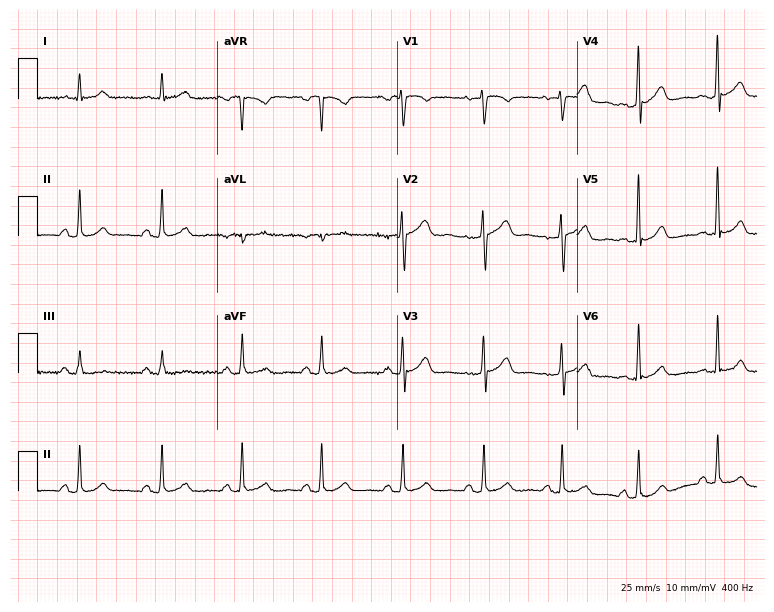
12-lead ECG (7.3-second recording at 400 Hz) from a 55-year-old female. Screened for six findings — first-degree AV block, right bundle branch block (RBBB), left bundle branch block (LBBB), sinus bradycardia, atrial fibrillation (AF), sinus tachycardia — none is recorded. Findings outside these six are not listed.